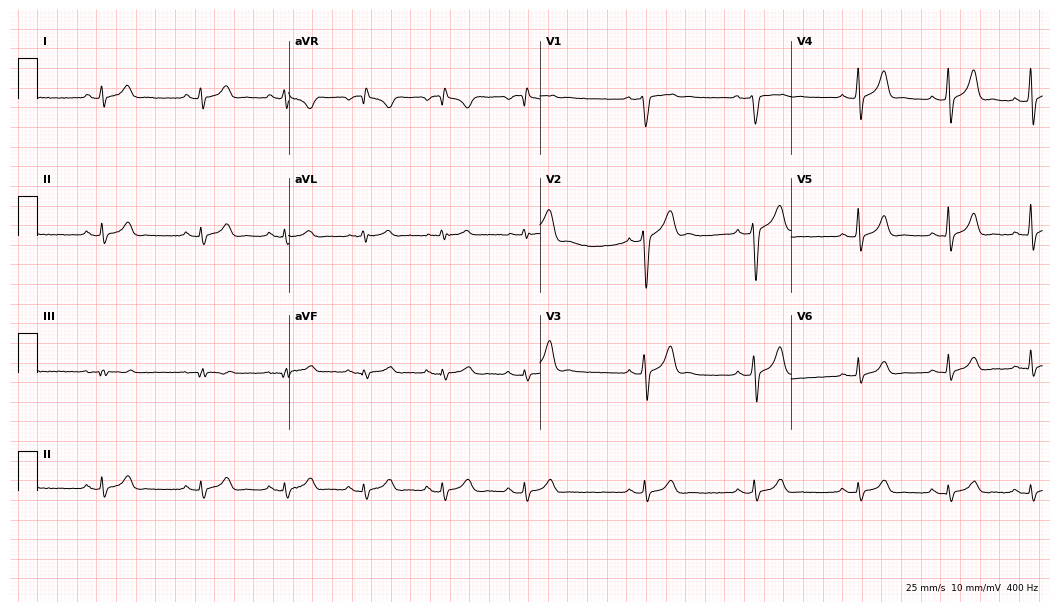
12-lead ECG (10.2-second recording at 400 Hz) from a 27-year-old man. Labelled as a normal ECG.